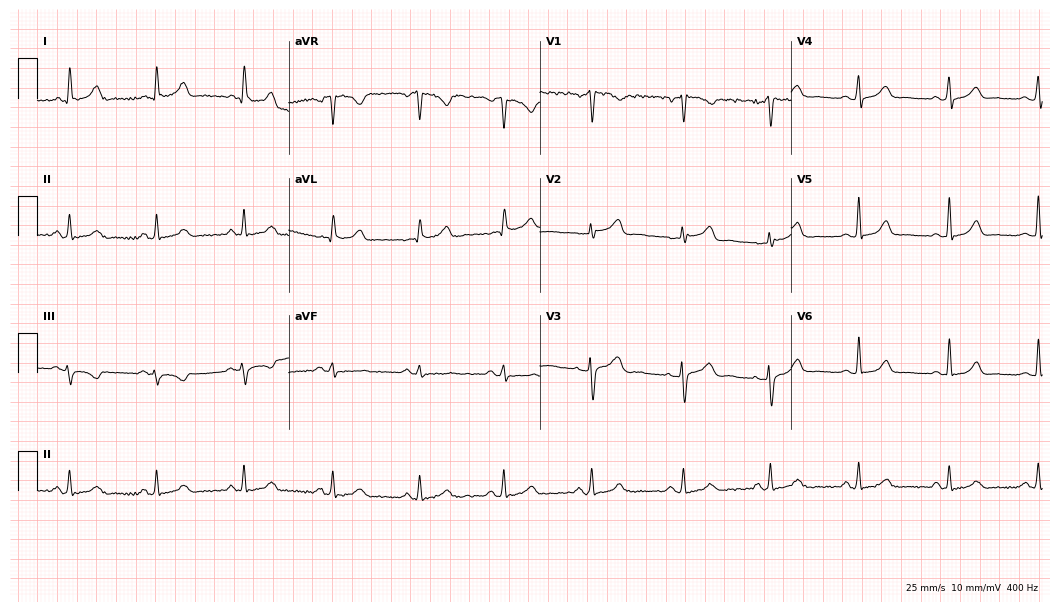
Electrocardiogram (10.2-second recording at 400 Hz), a female, 46 years old. Overall reading on record: normal ECG.